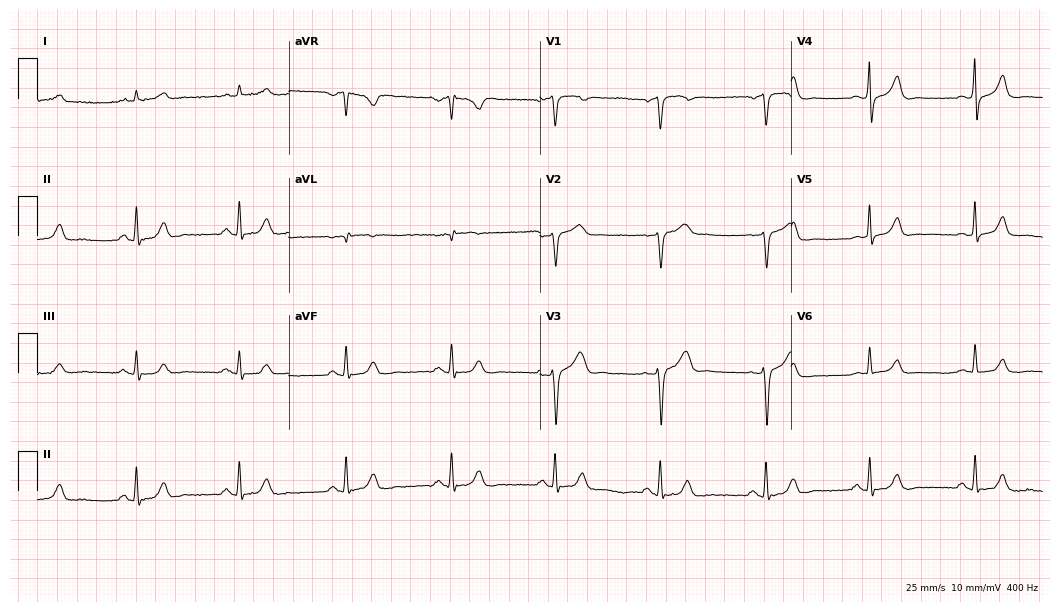
12-lead ECG (10.2-second recording at 400 Hz) from a male patient, 66 years old. Labelled as a normal ECG.